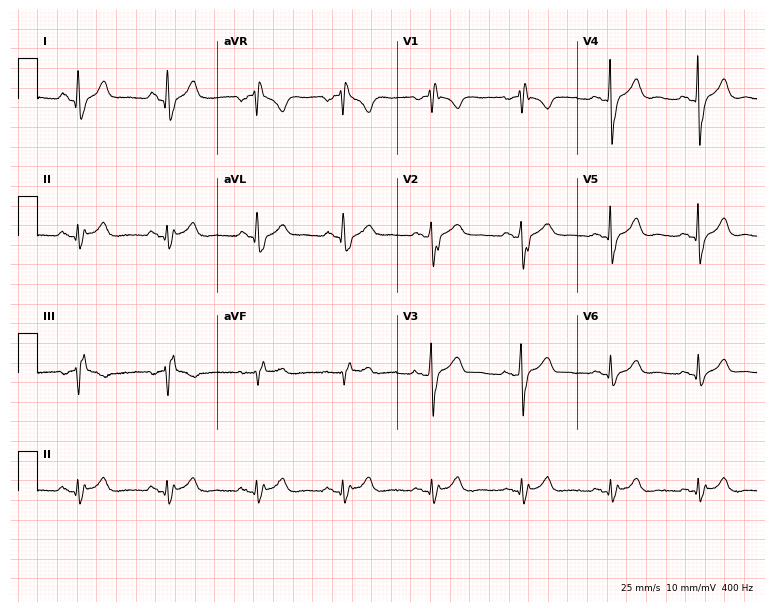
12-lead ECG from a 55-year-old male patient. Shows right bundle branch block.